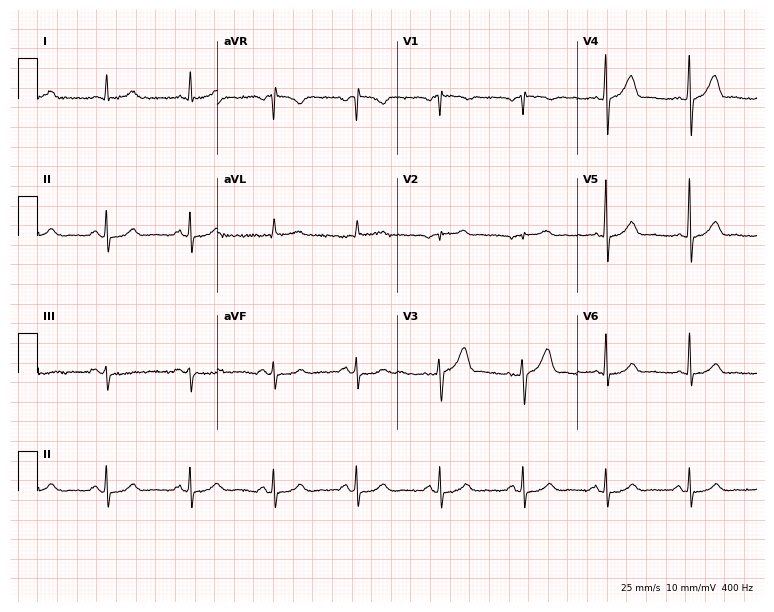
ECG — a 64-year-old man. Labelled as a normal ECG.